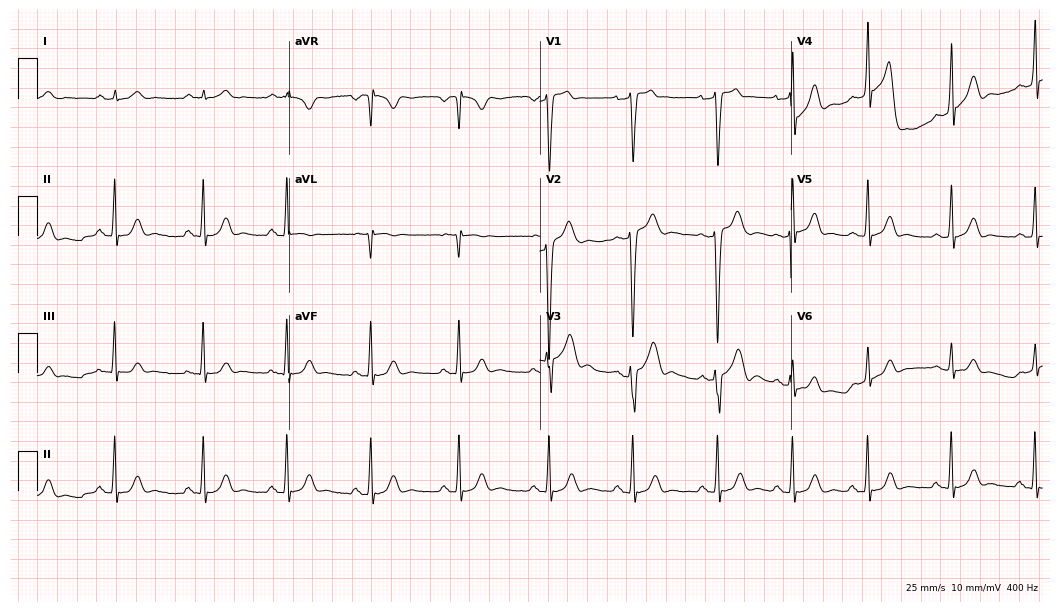
12-lead ECG (10.2-second recording at 400 Hz) from a 20-year-old male. Screened for six findings — first-degree AV block, right bundle branch block (RBBB), left bundle branch block (LBBB), sinus bradycardia, atrial fibrillation (AF), sinus tachycardia — none is recorded.